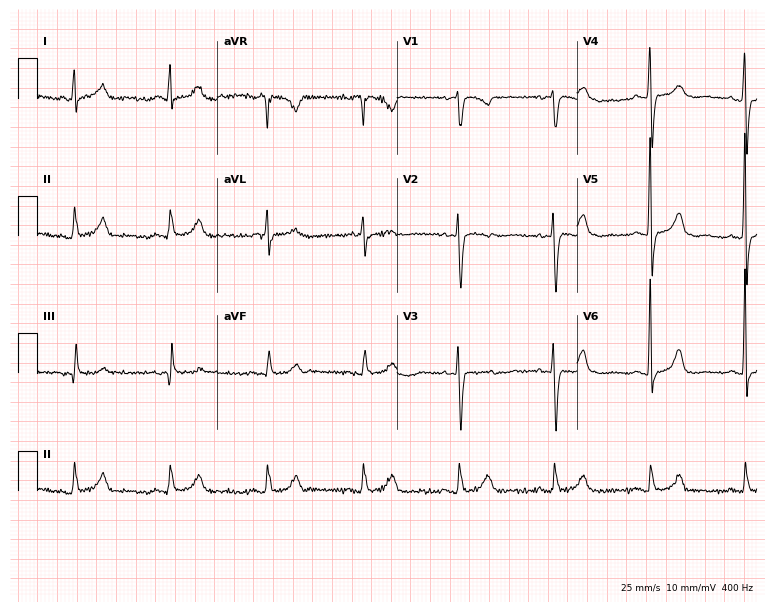
Resting 12-lead electrocardiogram (7.3-second recording at 400 Hz). Patient: an 85-year-old woman. None of these six findings is recorded: first-degree AV block, right bundle branch block, left bundle branch block, sinus bradycardia, atrial fibrillation, sinus tachycardia.